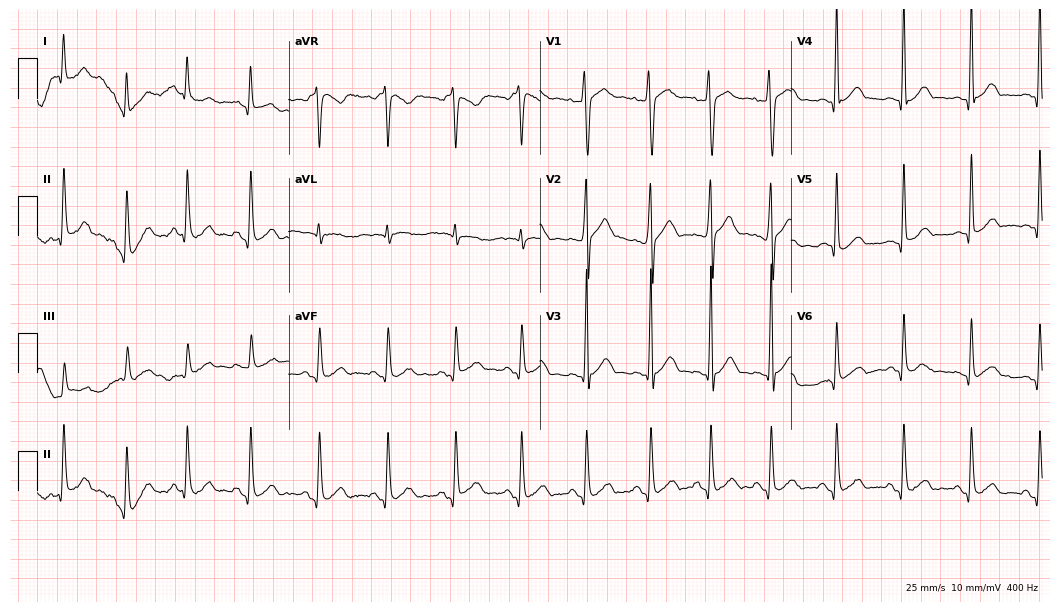
Resting 12-lead electrocardiogram. Patient: a 24-year-old male. None of these six findings is recorded: first-degree AV block, right bundle branch block, left bundle branch block, sinus bradycardia, atrial fibrillation, sinus tachycardia. Only these six findings were labelled.